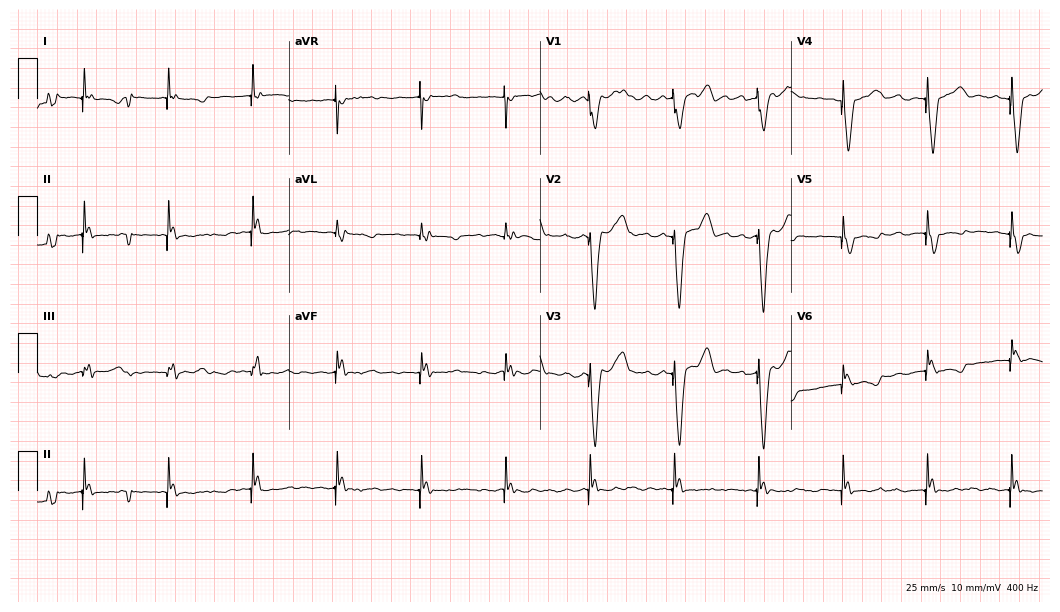
Standard 12-lead ECG recorded from a woman, 62 years old (10.2-second recording at 400 Hz). None of these six findings is recorded: first-degree AV block, right bundle branch block, left bundle branch block, sinus bradycardia, atrial fibrillation, sinus tachycardia. Other findings, if any, are not listed.